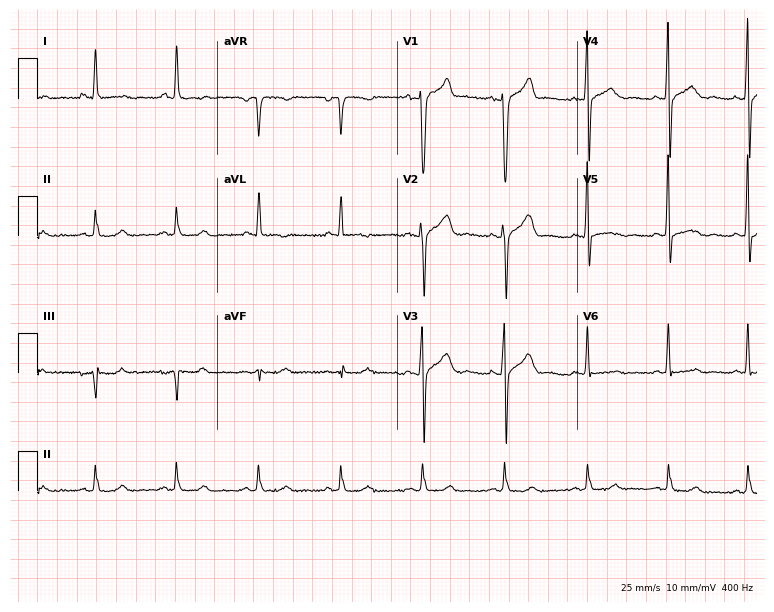
Standard 12-lead ECG recorded from a 47-year-old man (7.3-second recording at 400 Hz). None of these six findings is recorded: first-degree AV block, right bundle branch block (RBBB), left bundle branch block (LBBB), sinus bradycardia, atrial fibrillation (AF), sinus tachycardia. Only these six findings were labelled.